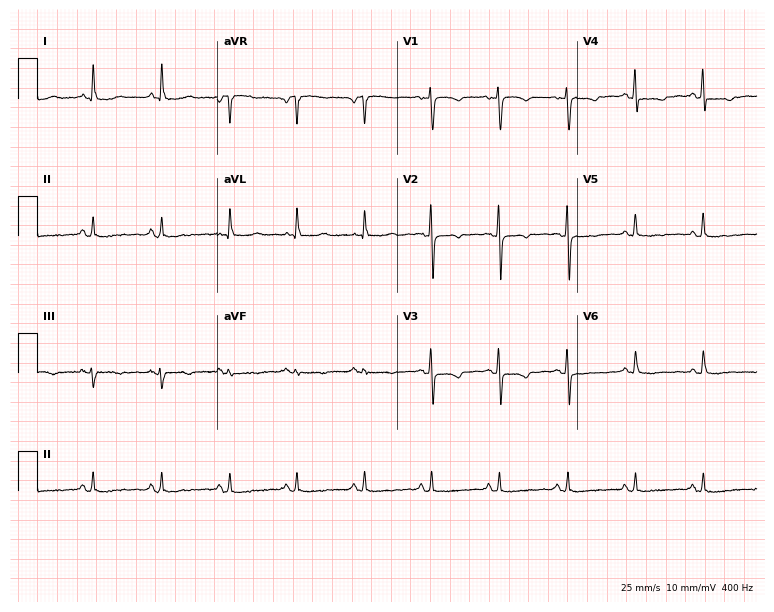
12-lead ECG from a female, 60 years old. No first-degree AV block, right bundle branch block (RBBB), left bundle branch block (LBBB), sinus bradycardia, atrial fibrillation (AF) or sinus tachycardia recorded for this tracing. Findings outside these six are not listed.